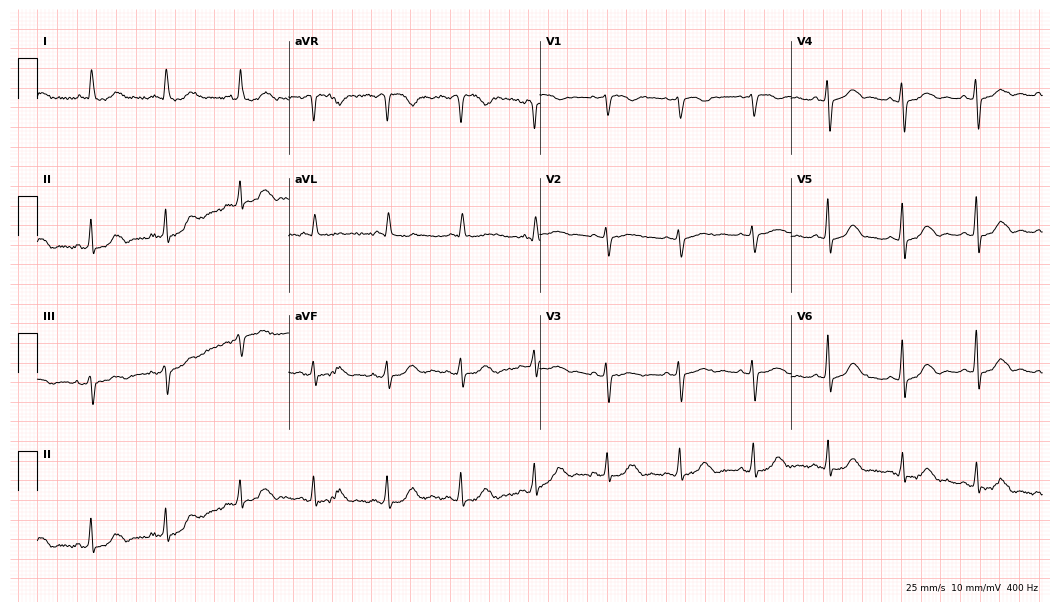
Electrocardiogram, a female patient, 72 years old. Overall reading on record: normal ECG.